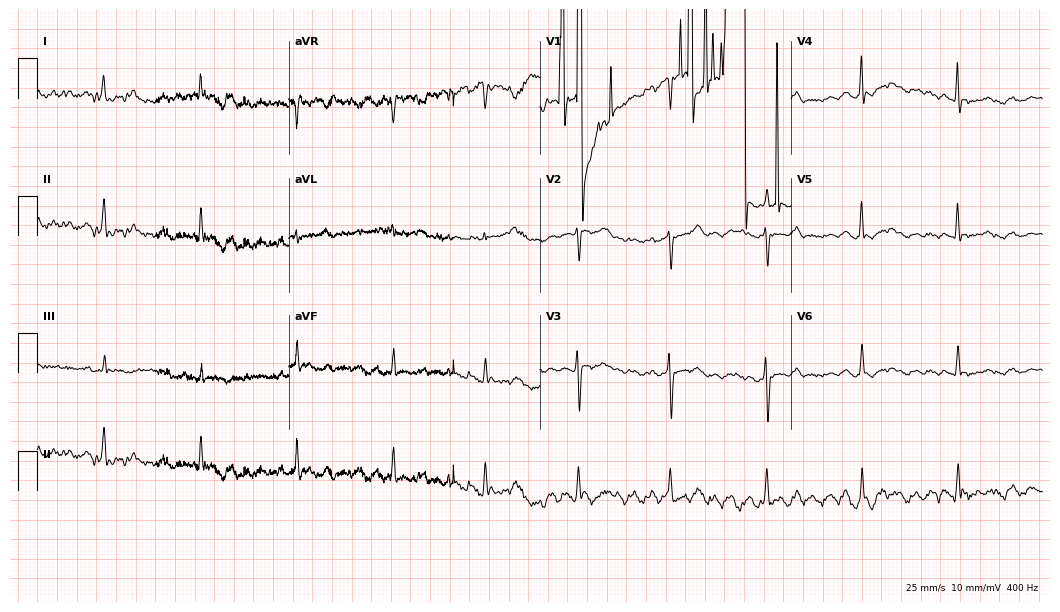
Electrocardiogram (10.2-second recording at 400 Hz), a female, 50 years old. Of the six screened findings (first-degree AV block, right bundle branch block, left bundle branch block, sinus bradycardia, atrial fibrillation, sinus tachycardia), none is recorded.